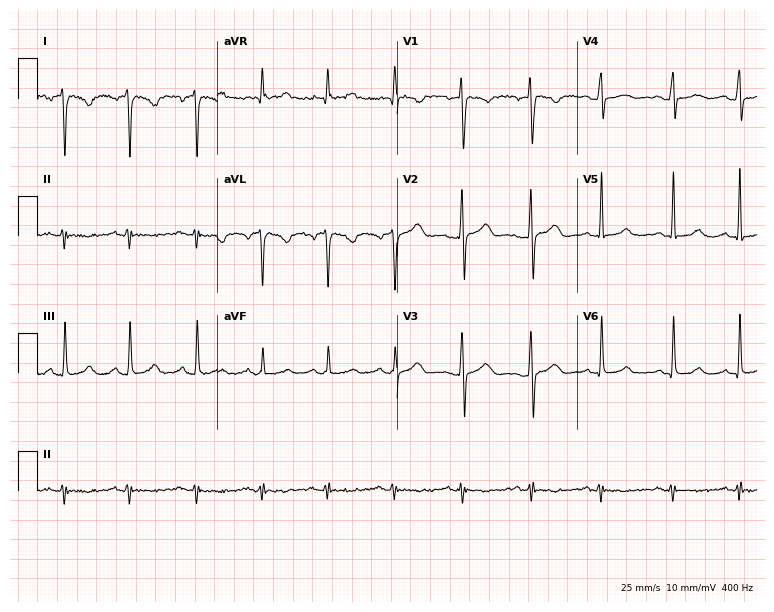
Standard 12-lead ECG recorded from a woman, 41 years old. None of these six findings is recorded: first-degree AV block, right bundle branch block (RBBB), left bundle branch block (LBBB), sinus bradycardia, atrial fibrillation (AF), sinus tachycardia.